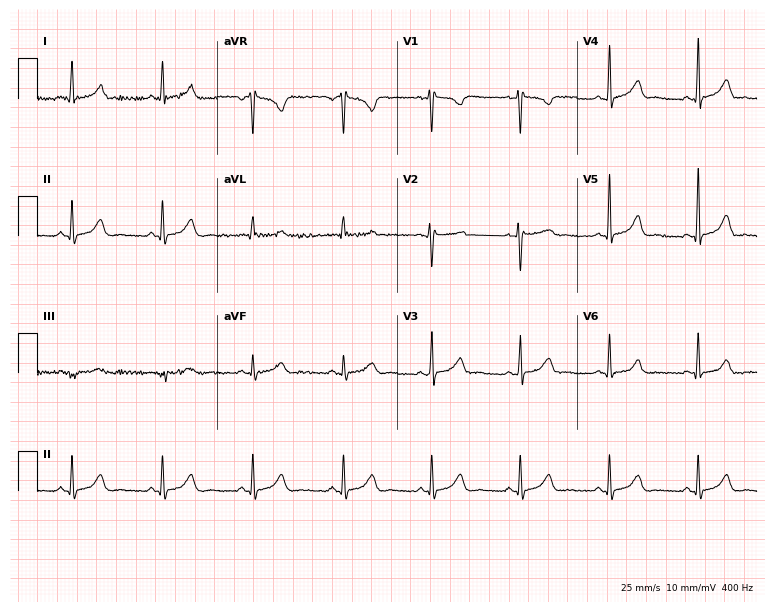
ECG (7.3-second recording at 400 Hz) — a female, 47 years old. Screened for six findings — first-degree AV block, right bundle branch block, left bundle branch block, sinus bradycardia, atrial fibrillation, sinus tachycardia — none is recorded.